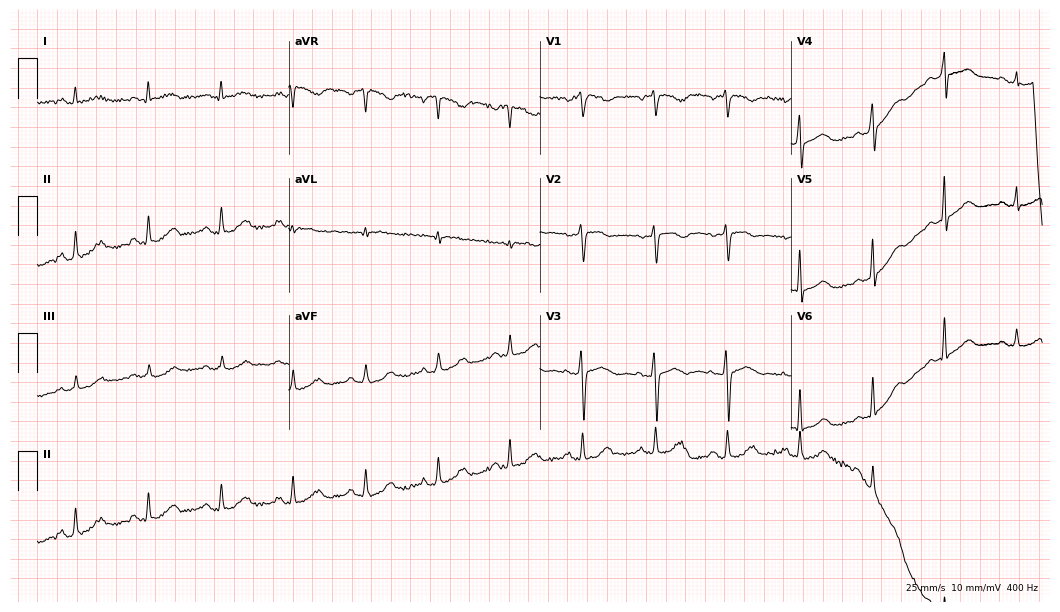
Resting 12-lead electrocardiogram. Patient: a woman, 51 years old. Read as a normal ECG.